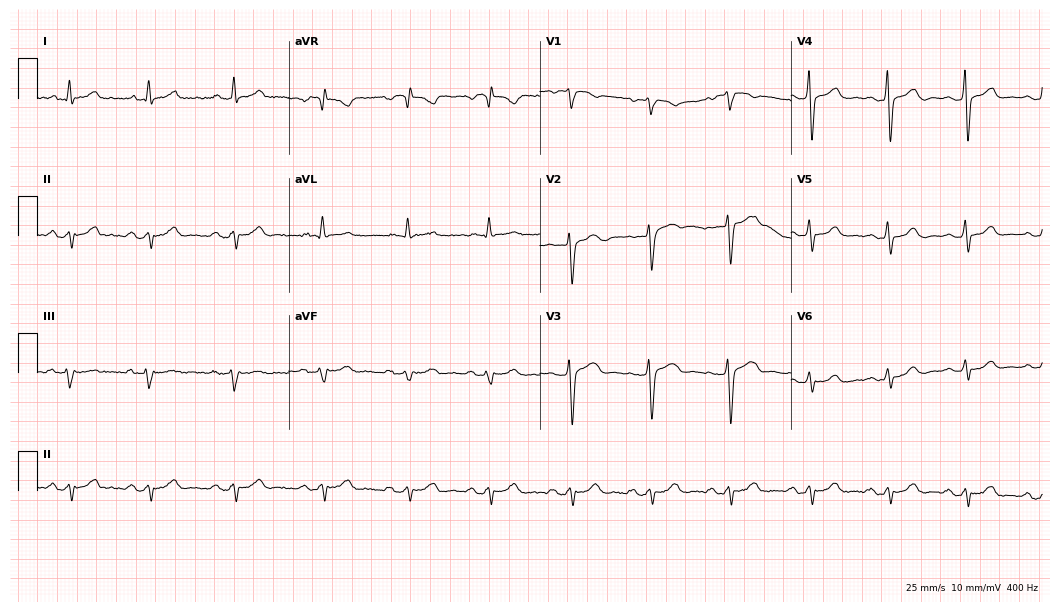
ECG (10.2-second recording at 400 Hz) — a 55-year-old female patient. Screened for six findings — first-degree AV block, right bundle branch block, left bundle branch block, sinus bradycardia, atrial fibrillation, sinus tachycardia — none is recorded.